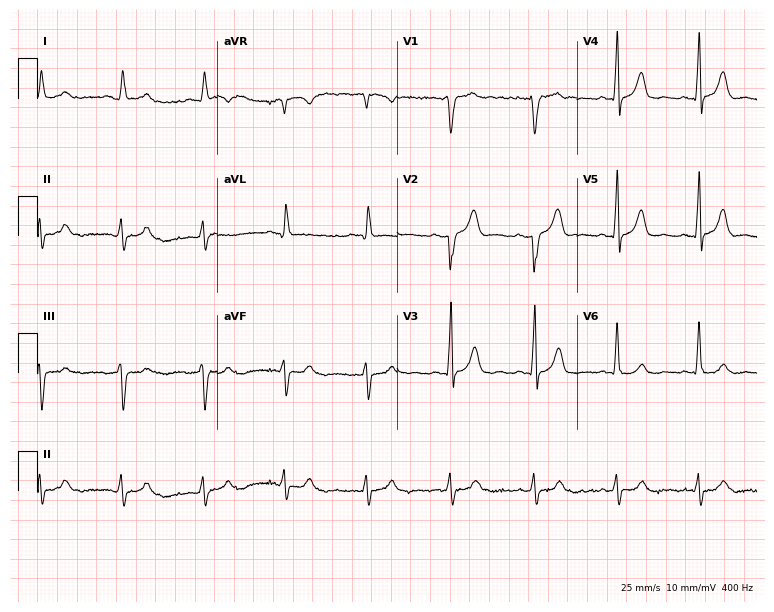
ECG (7.3-second recording at 400 Hz) — a 57-year-old man. Screened for six findings — first-degree AV block, right bundle branch block (RBBB), left bundle branch block (LBBB), sinus bradycardia, atrial fibrillation (AF), sinus tachycardia — none is recorded. Findings outside these six are not listed.